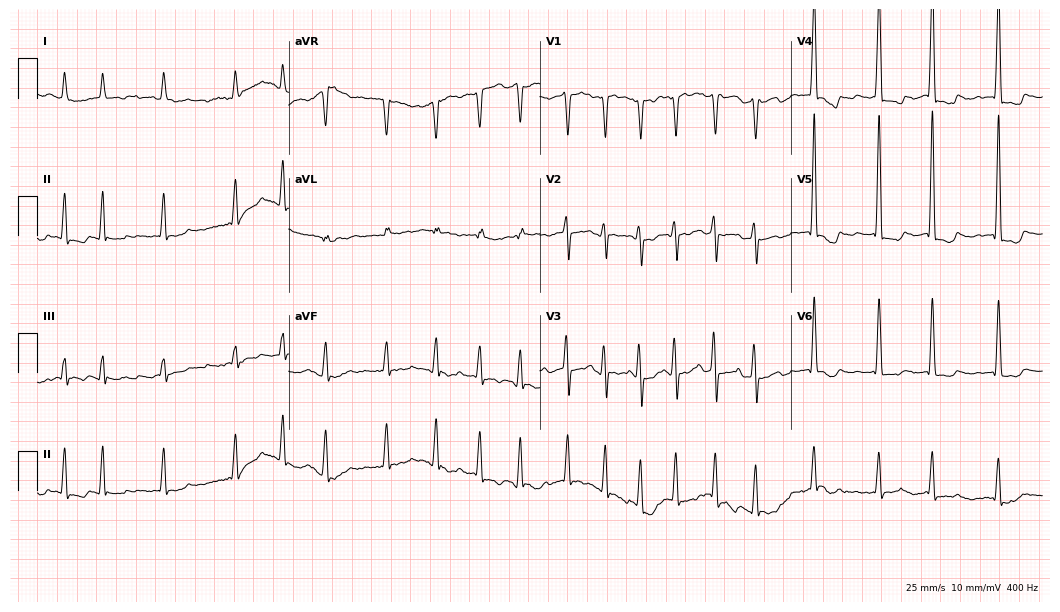
Electrocardiogram, a female patient, 84 years old. Interpretation includes atrial fibrillation.